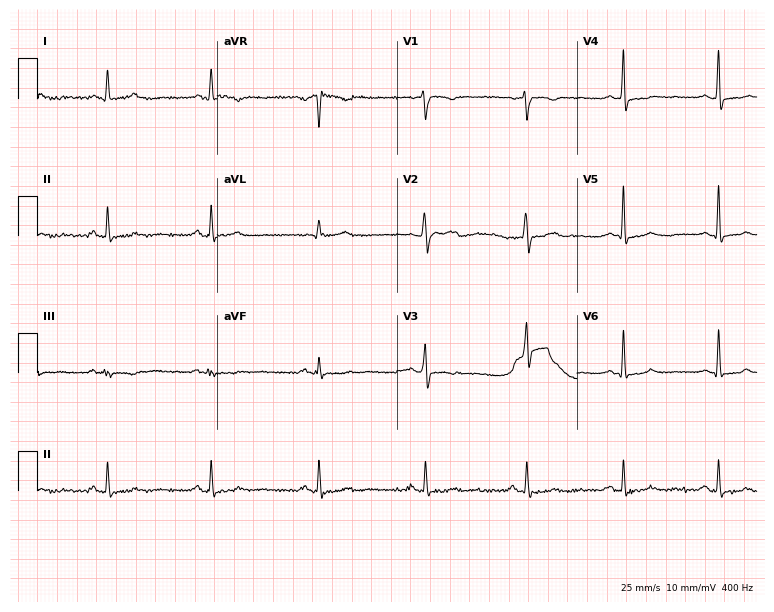
12-lead ECG from a female, 41 years old (7.3-second recording at 400 Hz). Recorded interpretation: within normal limits.